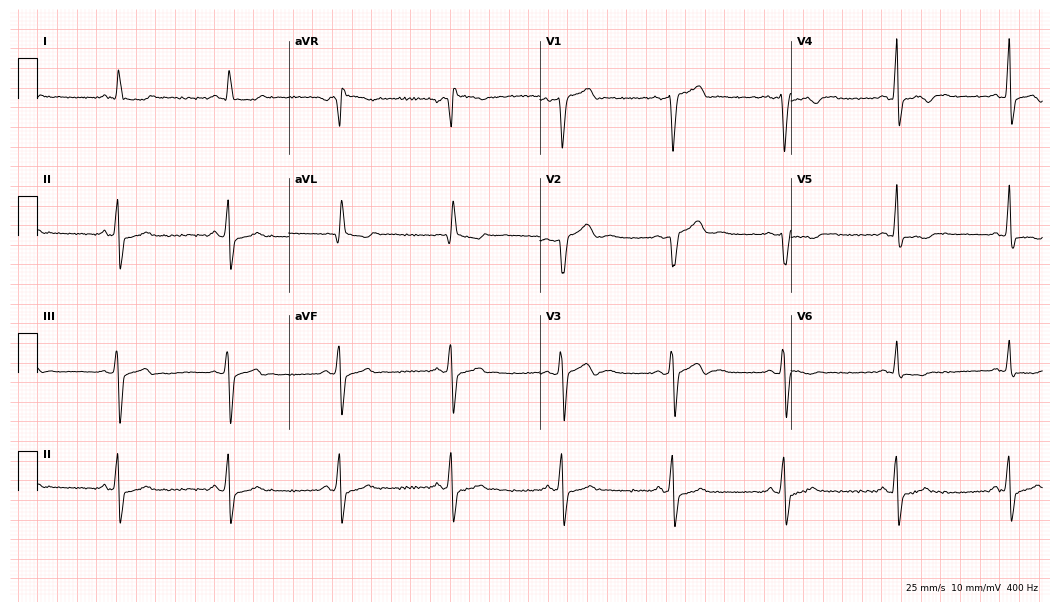
Electrocardiogram (10.2-second recording at 400 Hz), a 75-year-old male. Of the six screened findings (first-degree AV block, right bundle branch block, left bundle branch block, sinus bradycardia, atrial fibrillation, sinus tachycardia), none is recorded. Other findings, if any, are not listed.